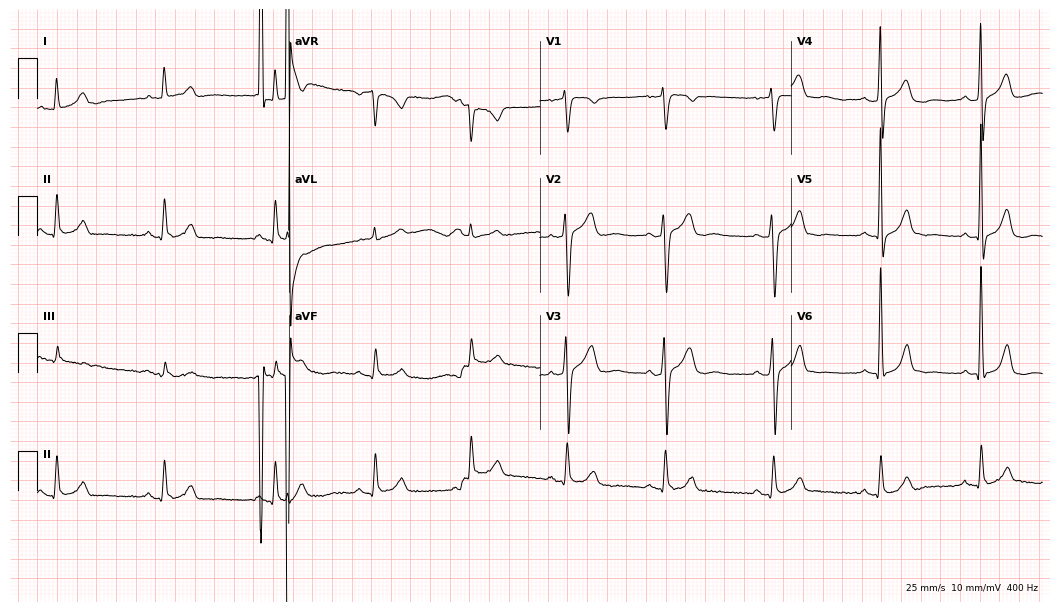
ECG — a male patient, 48 years old. Screened for six findings — first-degree AV block, right bundle branch block, left bundle branch block, sinus bradycardia, atrial fibrillation, sinus tachycardia — none is recorded.